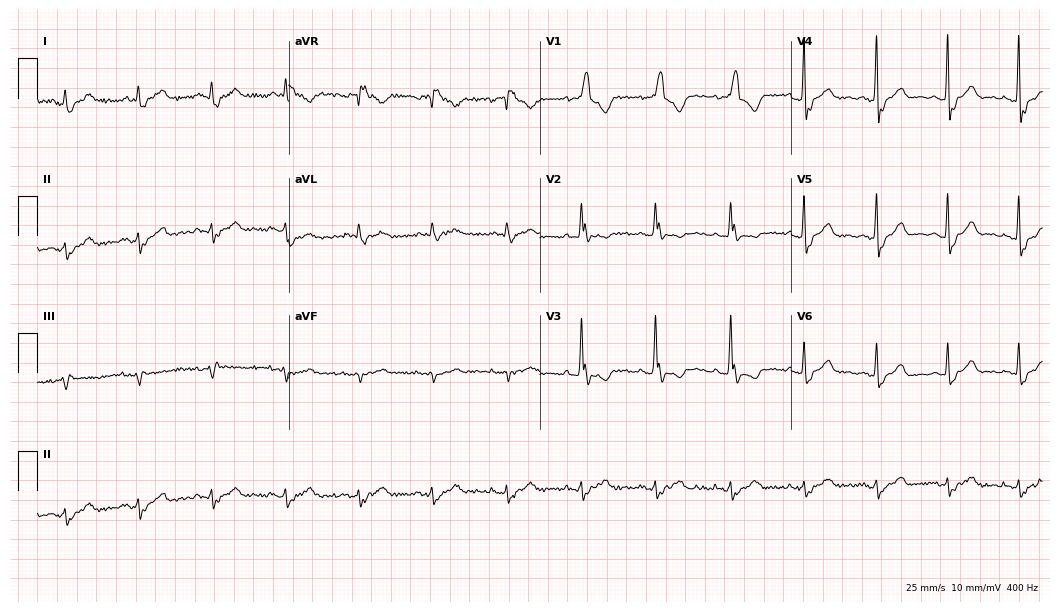
Standard 12-lead ECG recorded from a male, 71 years old (10.2-second recording at 400 Hz). None of these six findings is recorded: first-degree AV block, right bundle branch block, left bundle branch block, sinus bradycardia, atrial fibrillation, sinus tachycardia. Only these six findings were labelled.